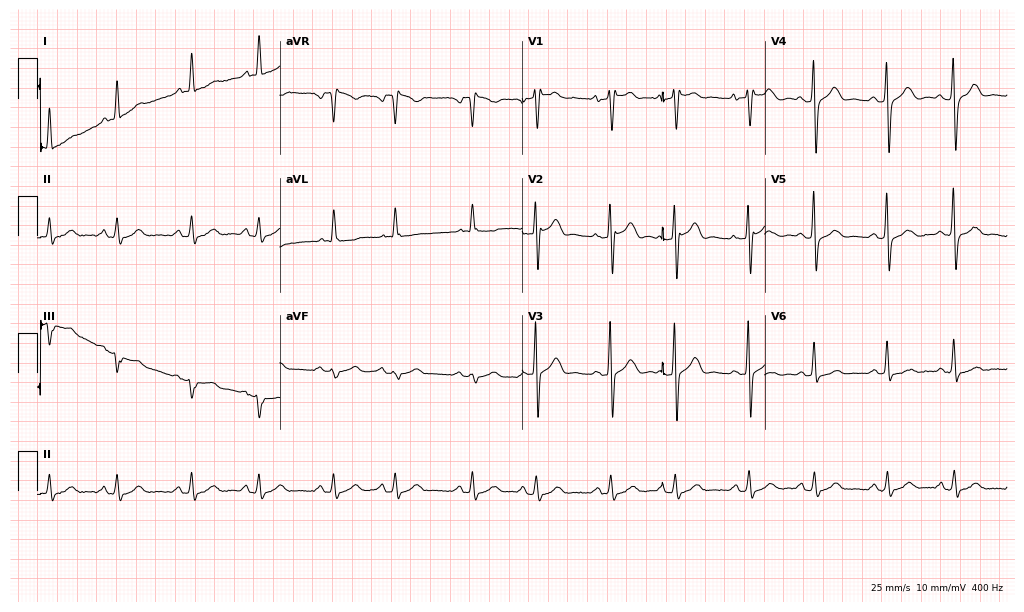
Resting 12-lead electrocardiogram (9.9-second recording at 400 Hz). Patient: a 58-year-old man. Read as a normal ECG.